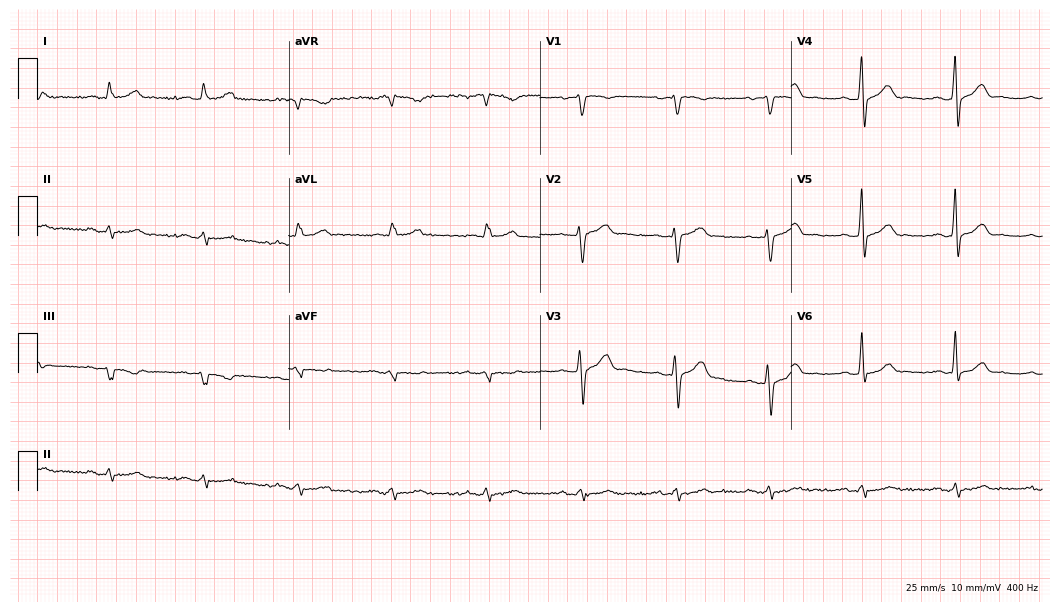
Electrocardiogram (10.2-second recording at 400 Hz), a 64-year-old male. Of the six screened findings (first-degree AV block, right bundle branch block, left bundle branch block, sinus bradycardia, atrial fibrillation, sinus tachycardia), none is recorded. Other findings, if any, are not listed.